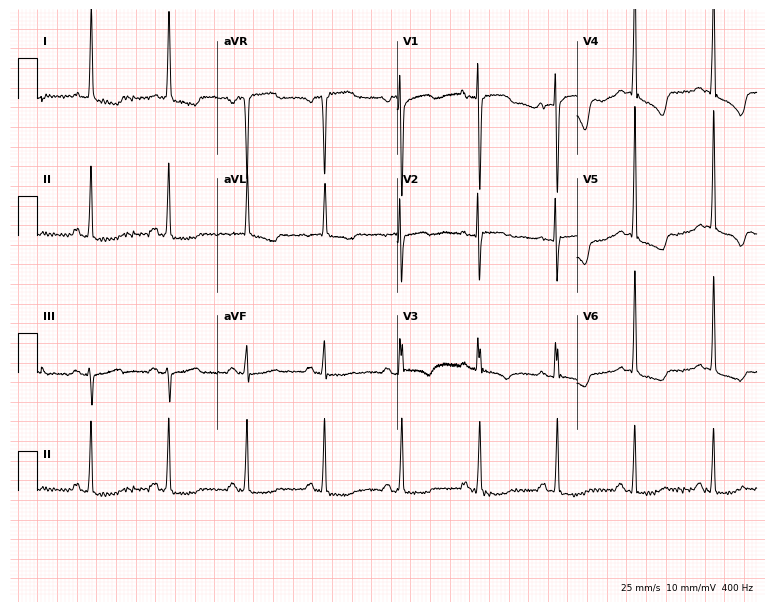
Electrocardiogram (7.3-second recording at 400 Hz), a 78-year-old woman. Of the six screened findings (first-degree AV block, right bundle branch block (RBBB), left bundle branch block (LBBB), sinus bradycardia, atrial fibrillation (AF), sinus tachycardia), none is recorded. Findings outside these six are not listed.